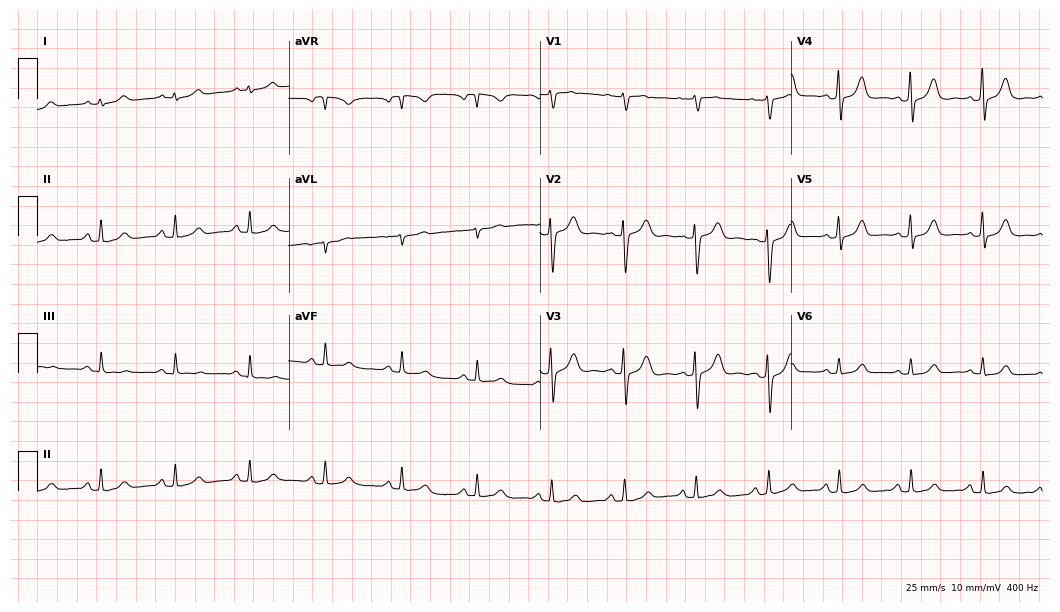
Resting 12-lead electrocardiogram (10.2-second recording at 400 Hz). Patient: a 42-year-old female. None of these six findings is recorded: first-degree AV block, right bundle branch block, left bundle branch block, sinus bradycardia, atrial fibrillation, sinus tachycardia.